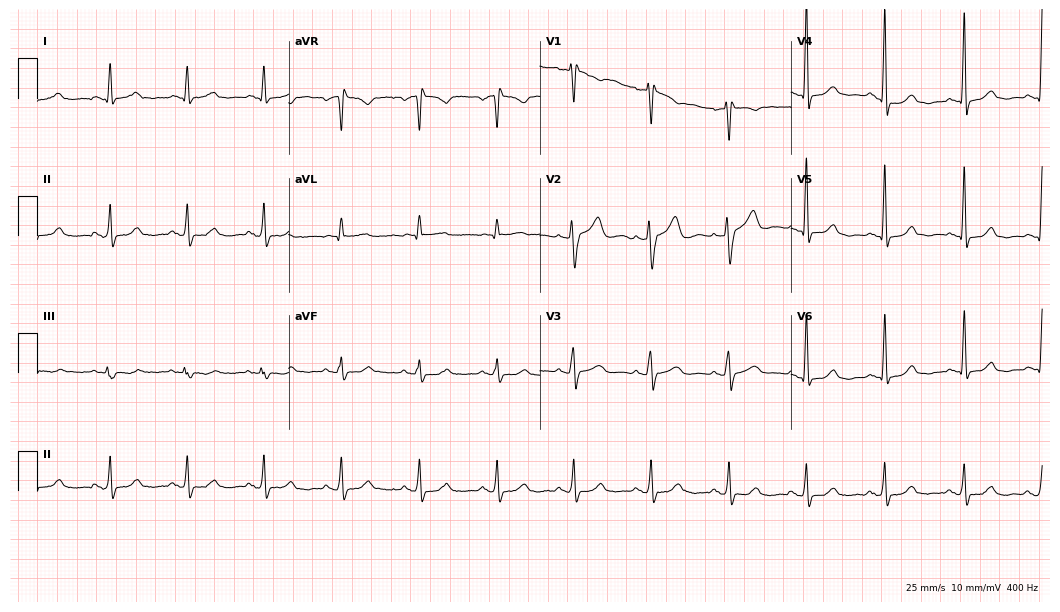
Standard 12-lead ECG recorded from a 57-year-old female (10.2-second recording at 400 Hz). None of these six findings is recorded: first-degree AV block, right bundle branch block (RBBB), left bundle branch block (LBBB), sinus bradycardia, atrial fibrillation (AF), sinus tachycardia.